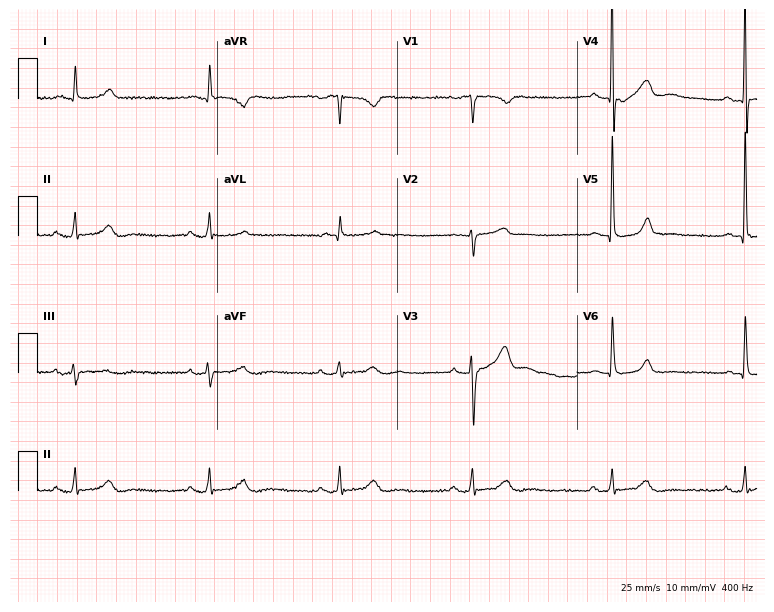
12-lead ECG from a male, 61 years old. Screened for six findings — first-degree AV block, right bundle branch block (RBBB), left bundle branch block (LBBB), sinus bradycardia, atrial fibrillation (AF), sinus tachycardia — none is recorded.